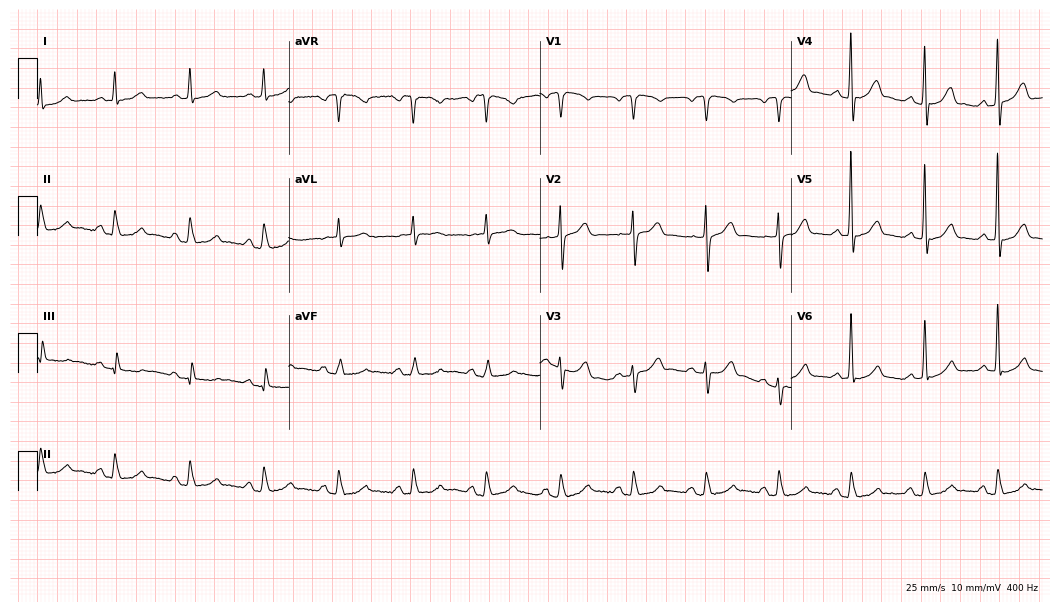
12-lead ECG from a male patient, 58 years old. Screened for six findings — first-degree AV block, right bundle branch block (RBBB), left bundle branch block (LBBB), sinus bradycardia, atrial fibrillation (AF), sinus tachycardia — none is recorded.